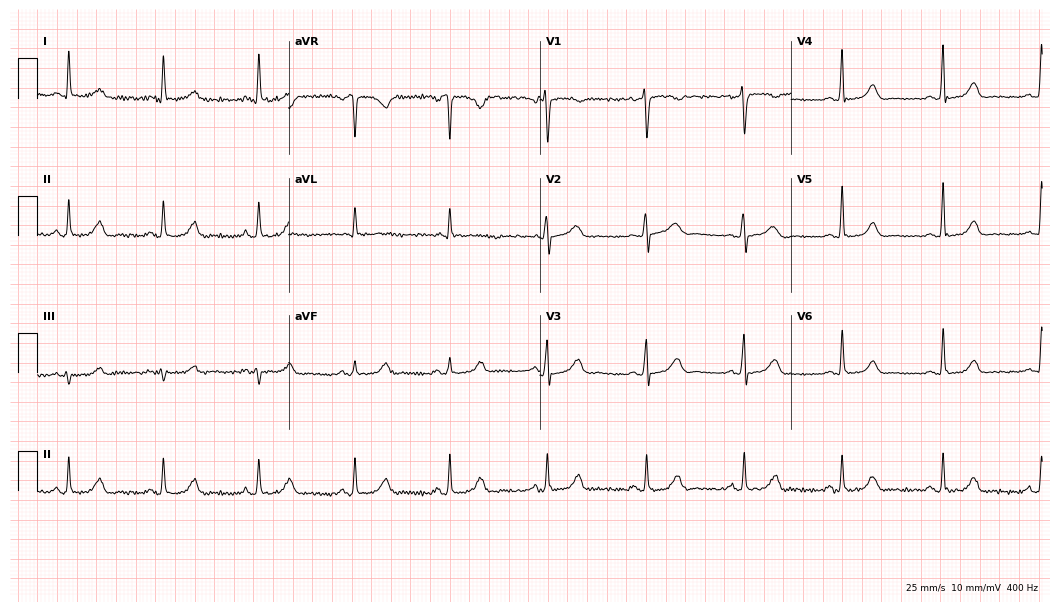
Electrocardiogram, a female patient, 59 years old. Overall reading on record: normal ECG.